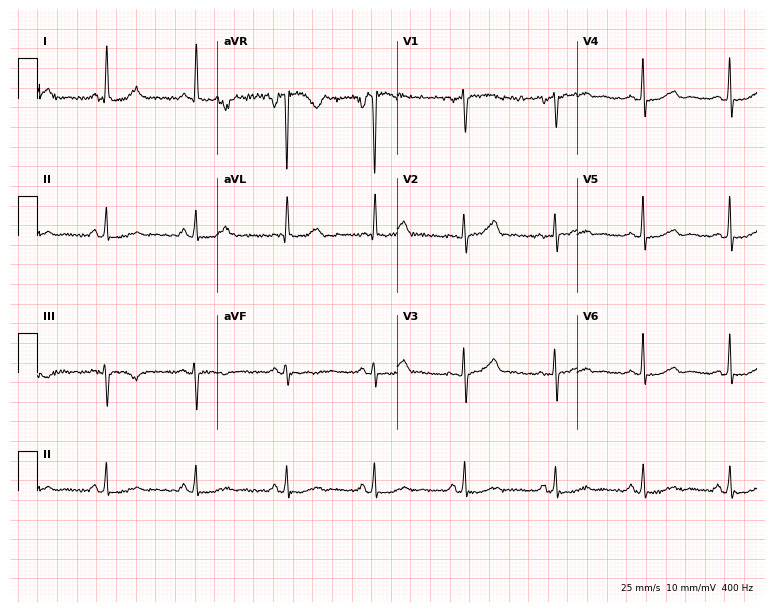
Standard 12-lead ECG recorded from a 60-year-old woman. None of these six findings is recorded: first-degree AV block, right bundle branch block (RBBB), left bundle branch block (LBBB), sinus bradycardia, atrial fibrillation (AF), sinus tachycardia. Other findings, if any, are not listed.